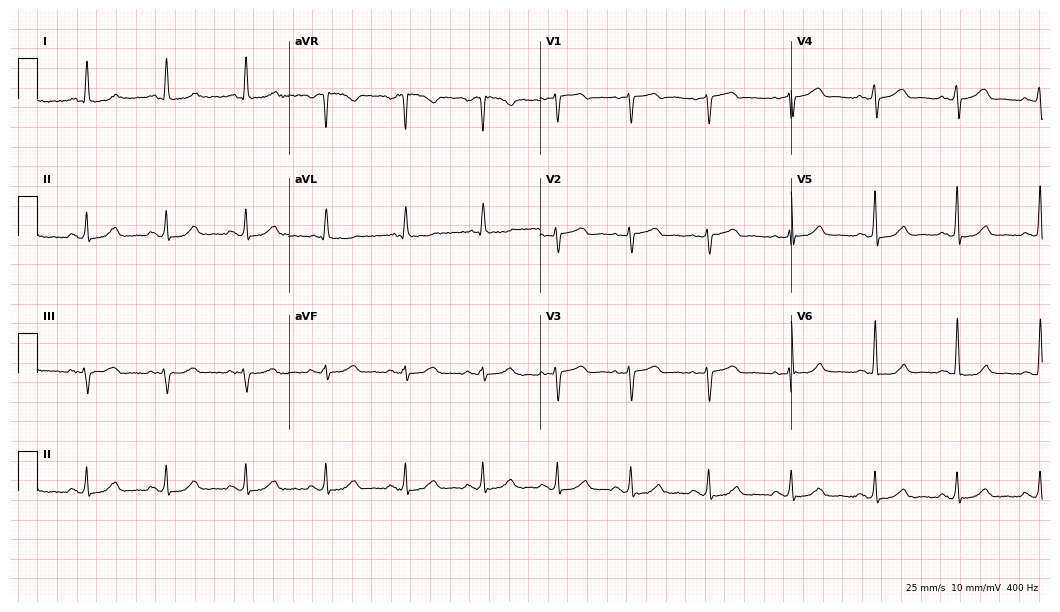
Electrocardiogram (10.2-second recording at 400 Hz), a female patient, 55 years old. Overall reading on record: normal ECG.